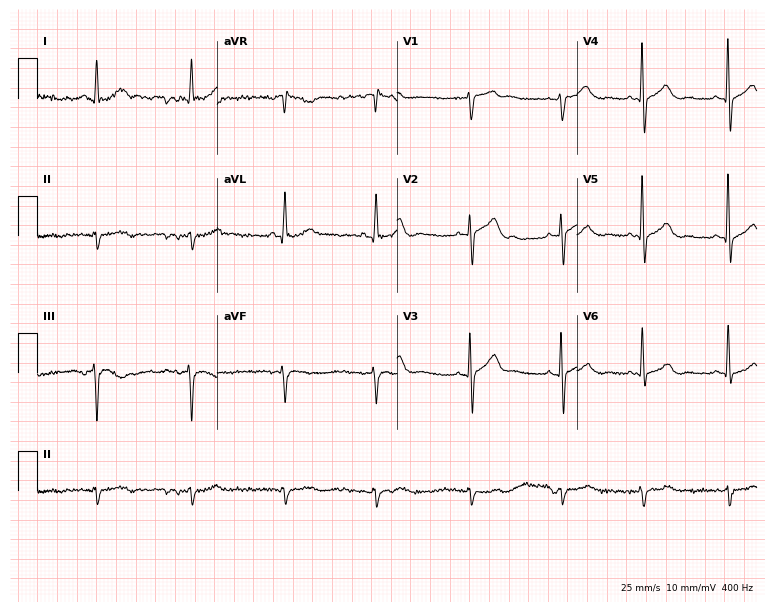
Standard 12-lead ECG recorded from a male patient, 74 years old. None of these six findings is recorded: first-degree AV block, right bundle branch block, left bundle branch block, sinus bradycardia, atrial fibrillation, sinus tachycardia. Only these six findings were labelled.